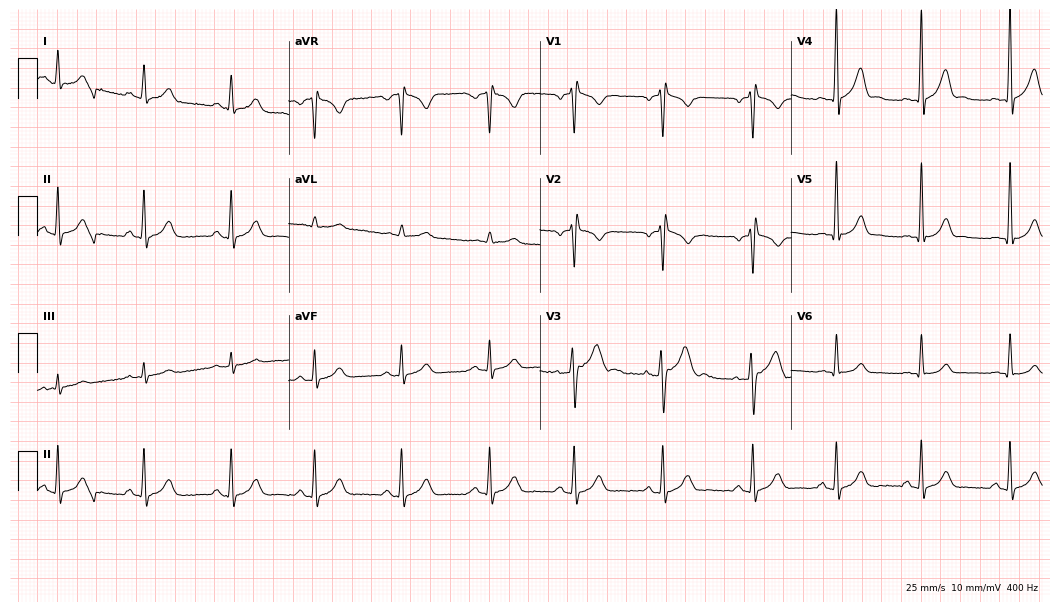
12-lead ECG from a man, 30 years old. No first-degree AV block, right bundle branch block, left bundle branch block, sinus bradycardia, atrial fibrillation or sinus tachycardia recorded for this tracing.